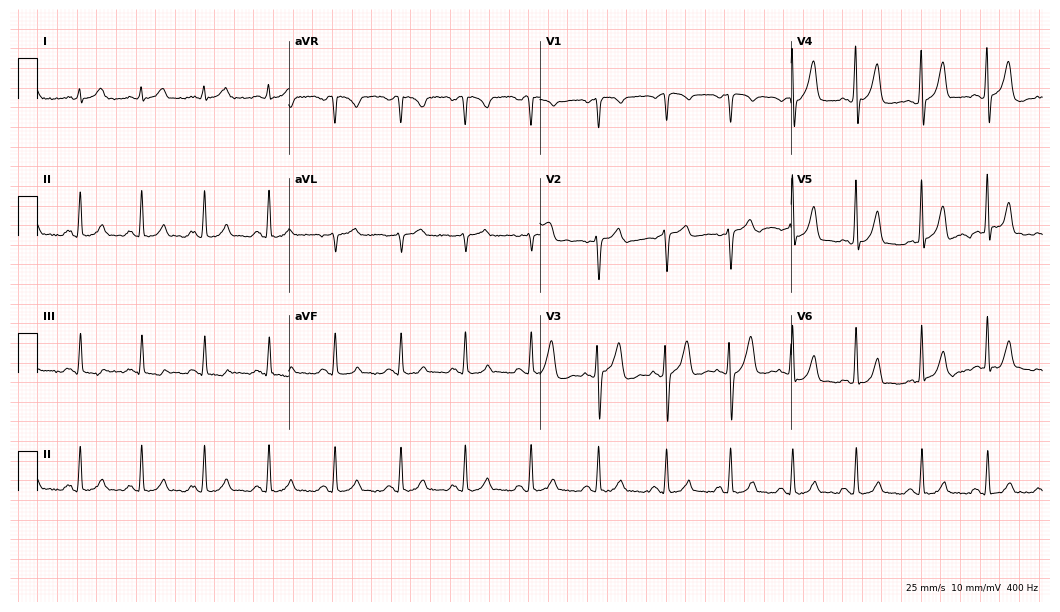
Resting 12-lead electrocardiogram. Patient: a male, 54 years old. Read as a normal ECG.